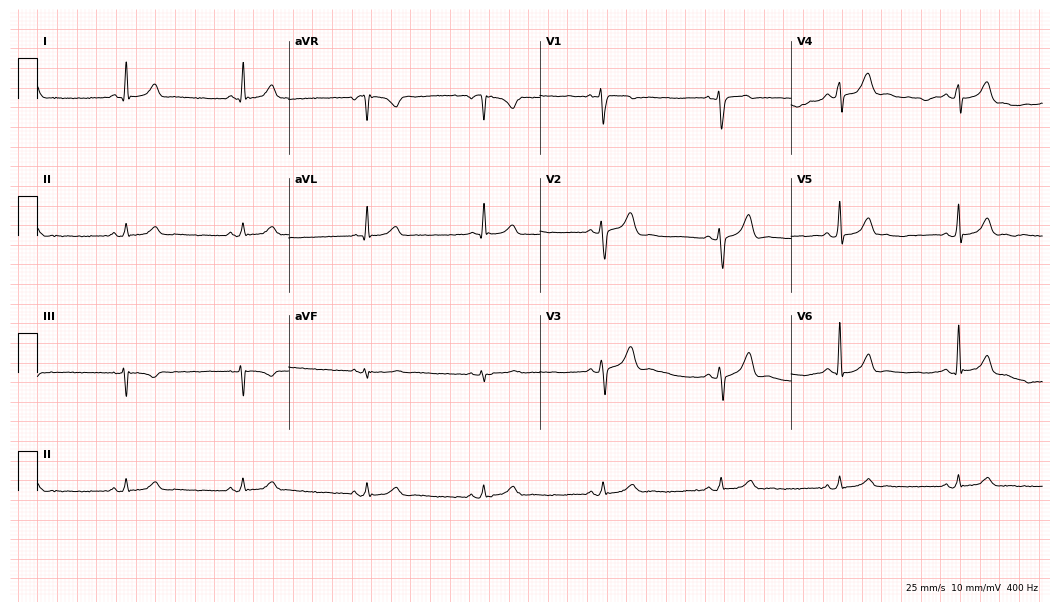
12-lead ECG from a 38-year-old man (10.2-second recording at 400 Hz). No first-degree AV block, right bundle branch block, left bundle branch block, sinus bradycardia, atrial fibrillation or sinus tachycardia recorded for this tracing. Only these six findings were labelled.